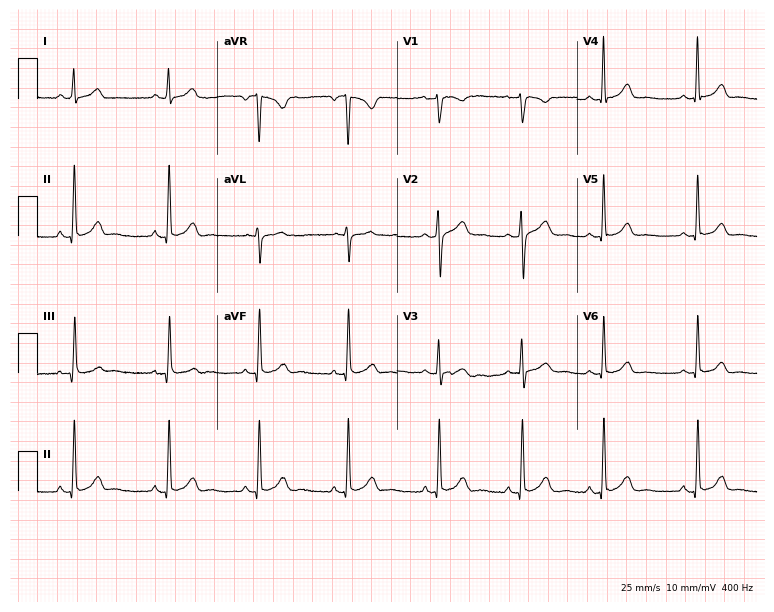
Standard 12-lead ECG recorded from a 33-year-old woman (7.3-second recording at 400 Hz). None of these six findings is recorded: first-degree AV block, right bundle branch block, left bundle branch block, sinus bradycardia, atrial fibrillation, sinus tachycardia. Findings outside these six are not listed.